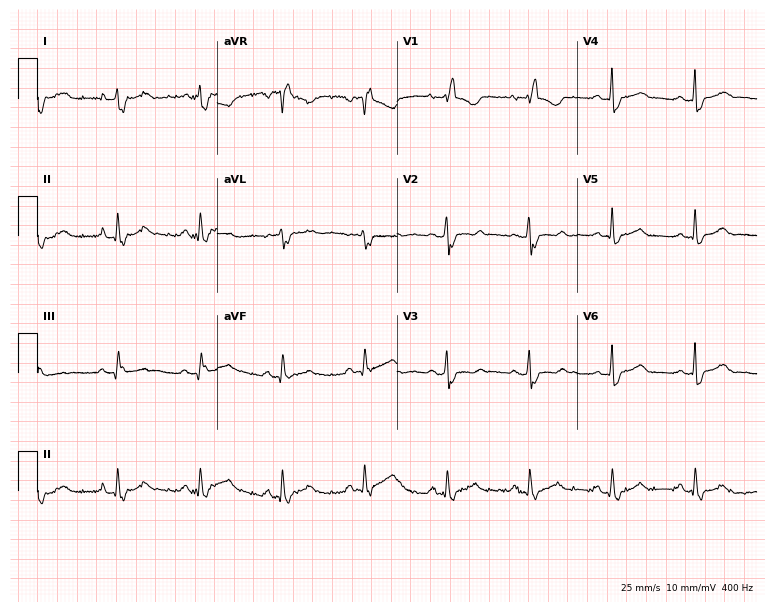
Resting 12-lead electrocardiogram. Patient: a woman, 41 years old. None of these six findings is recorded: first-degree AV block, right bundle branch block, left bundle branch block, sinus bradycardia, atrial fibrillation, sinus tachycardia. Findings outside these six are not listed.